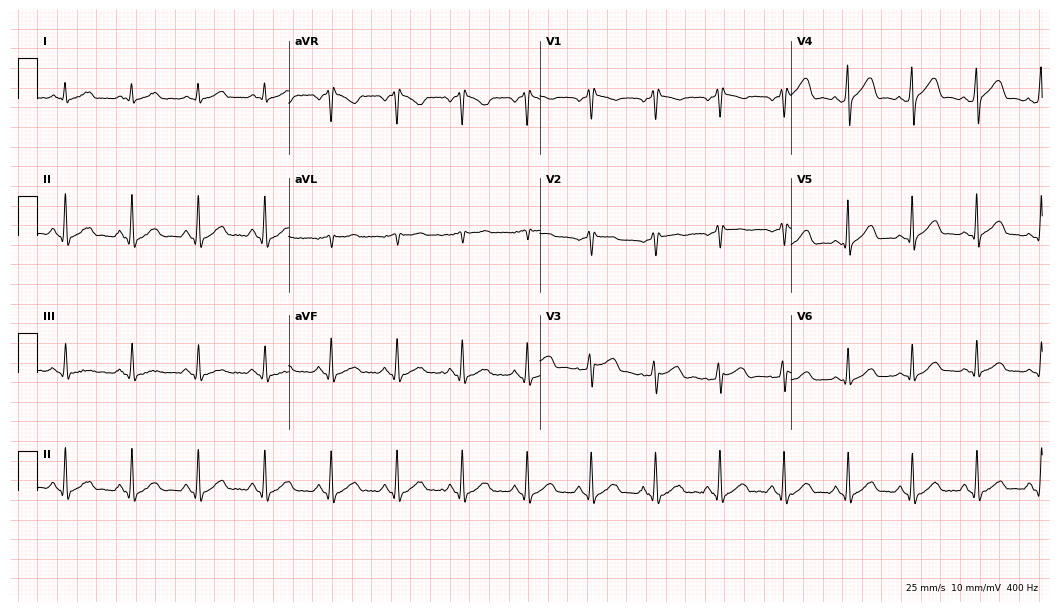
Electrocardiogram (10.2-second recording at 400 Hz), a 56-year-old woman. Overall reading on record: normal ECG.